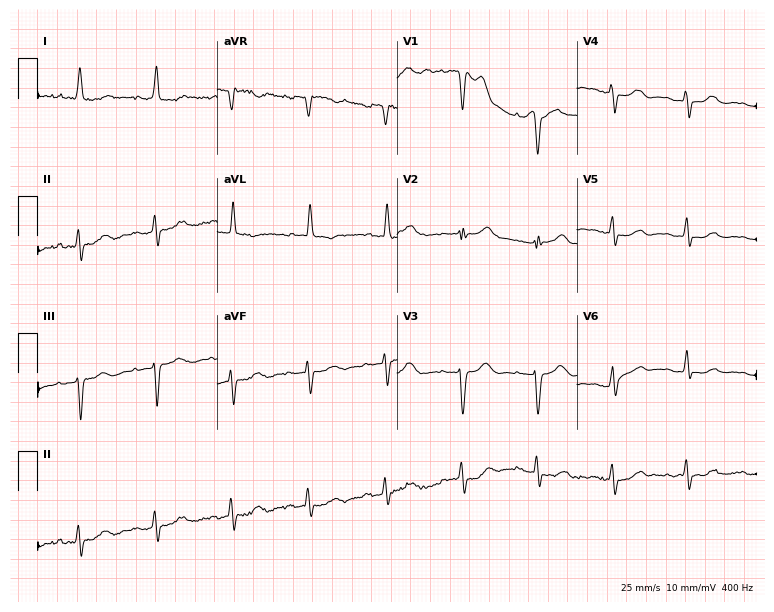
Standard 12-lead ECG recorded from a female patient, 84 years old. None of these six findings is recorded: first-degree AV block, right bundle branch block, left bundle branch block, sinus bradycardia, atrial fibrillation, sinus tachycardia. Findings outside these six are not listed.